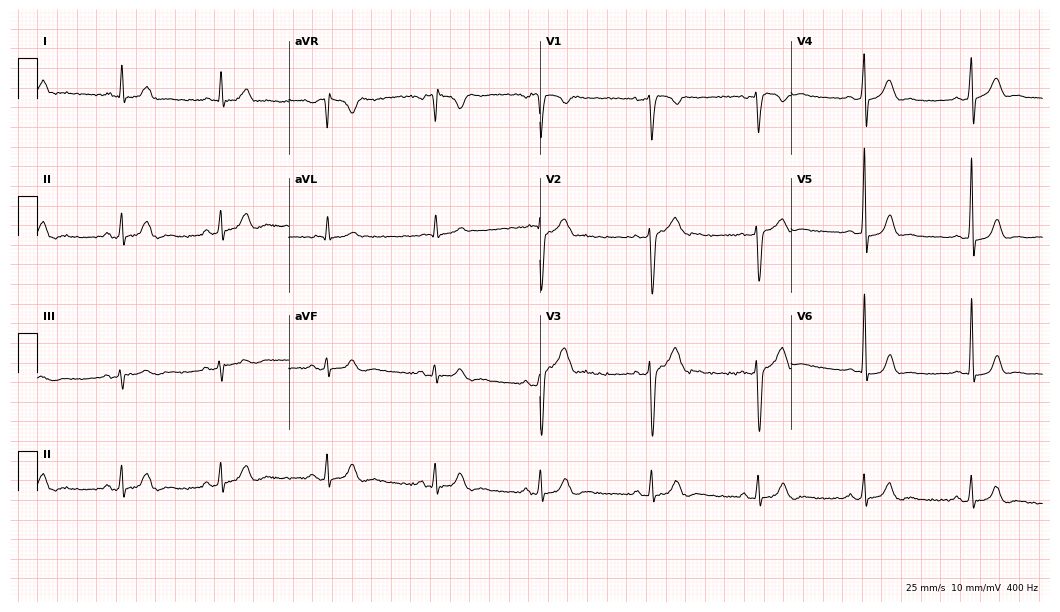
12-lead ECG from a female, 44 years old. Recorded interpretation: within normal limits.